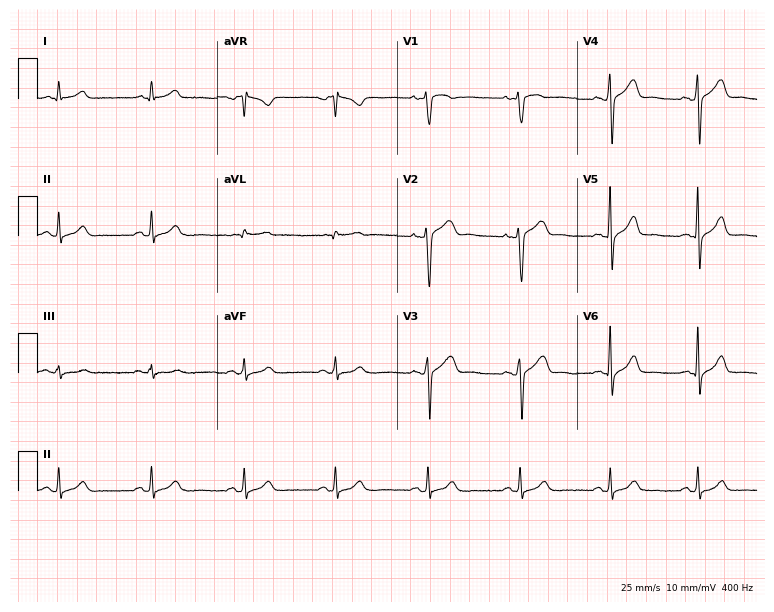
Resting 12-lead electrocardiogram. Patient: a male, 65 years old. None of these six findings is recorded: first-degree AV block, right bundle branch block, left bundle branch block, sinus bradycardia, atrial fibrillation, sinus tachycardia. Only these six findings were labelled.